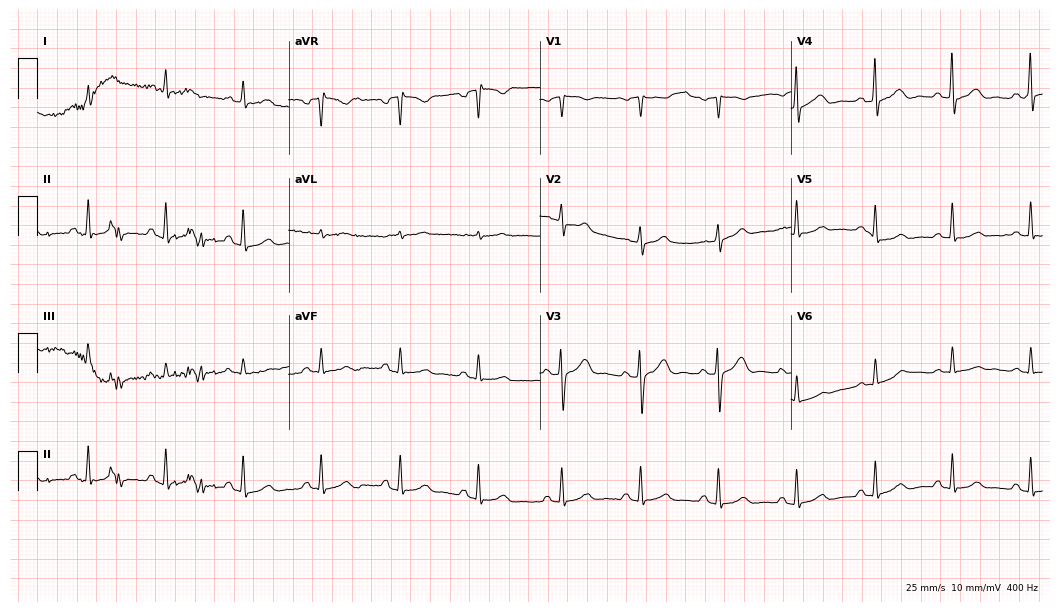
Standard 12-lead ECG recorded from a male, 61 years old. None of these six findings is recorded: first-degree AV block, right bundle branch block, left bundle branch block, sinus bradycardia, atrial fibrillation, sinus tachycardia.